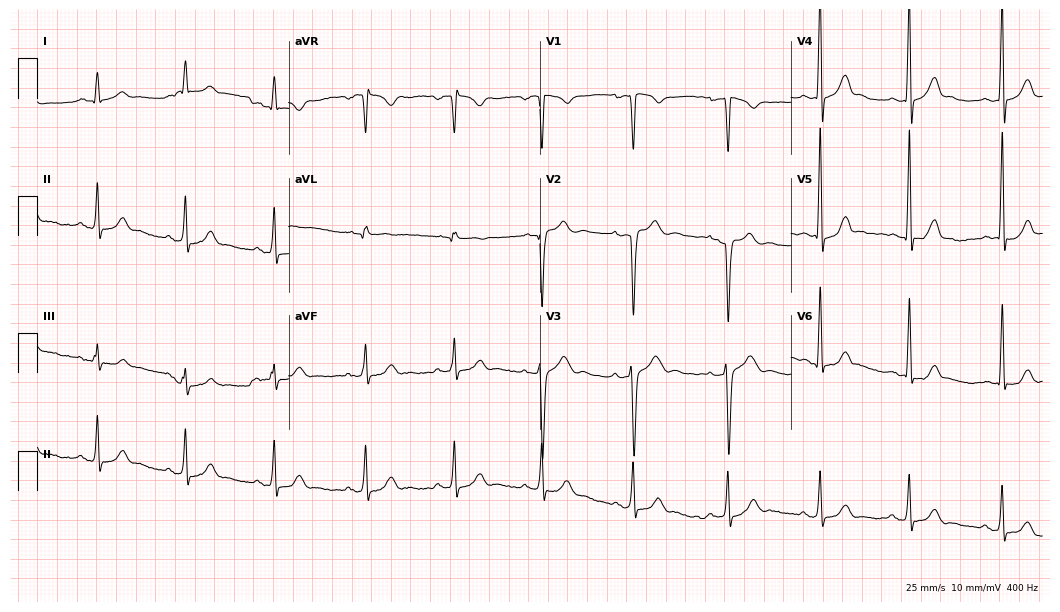
12-lead ECG from a male, 23 years old (10.2-second recording at 400 Hz). Recorded interpretation: within normal limits.